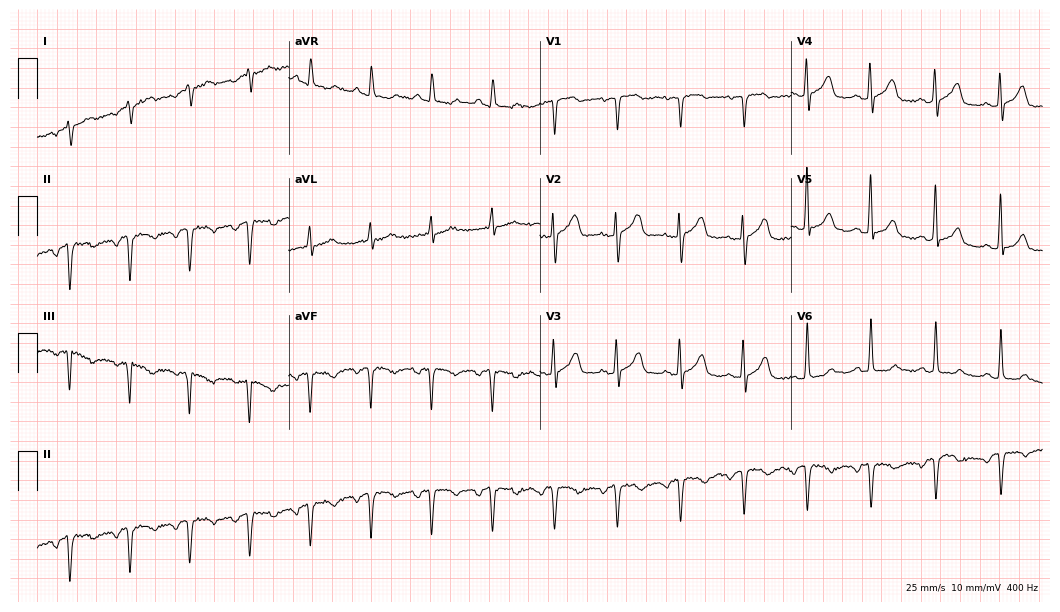
12-lead ECG (10.2-second recording at 400 Hz) from a 71-year-old female patient. Screened for six findings — first-degree AV block, right bundle branch block, left bundle branch block, sinus bradycardia, atrial fibrillation, sinus tachycardia — none is recorded.